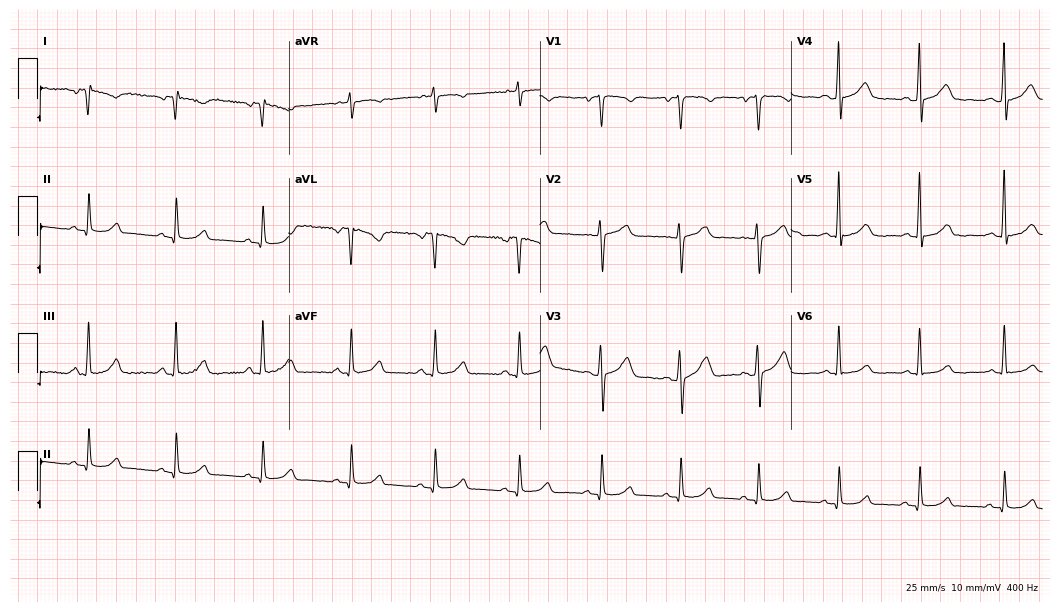
12-lead ECG from a female patient, 40 years old (10.2-second recording at 400 Hz). No first-degree AV block, right bundle branch block, left bundle branch block, sinus bradycardia, atrial fibrillation or sinus tachycardia recorded for this tracing. Other findings, if any, are not listed.